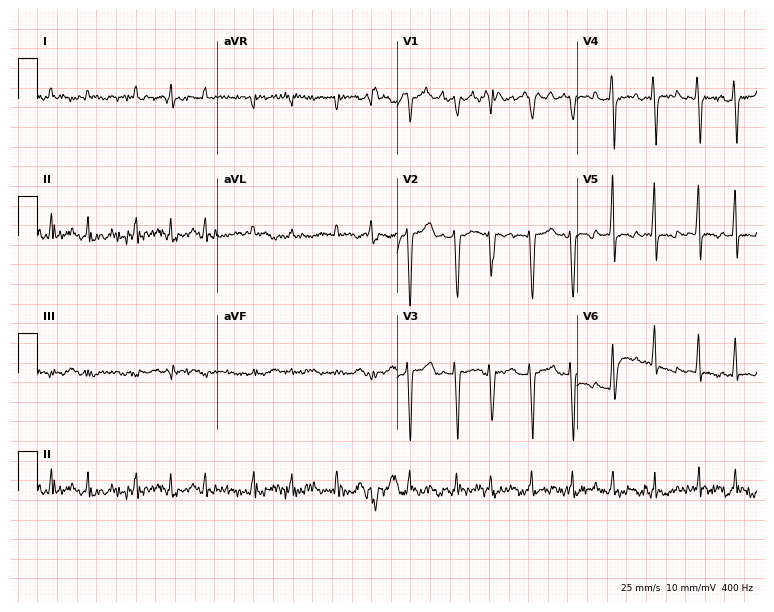
12-lead ECG from a 41-year-old male. No first-degree AV block, right bundle branch block, left bundle branch block, sinus bradycardia, atrial fibrillation or sinus tachycardia recorded for this tracing. Other findings, if any, are not listed.